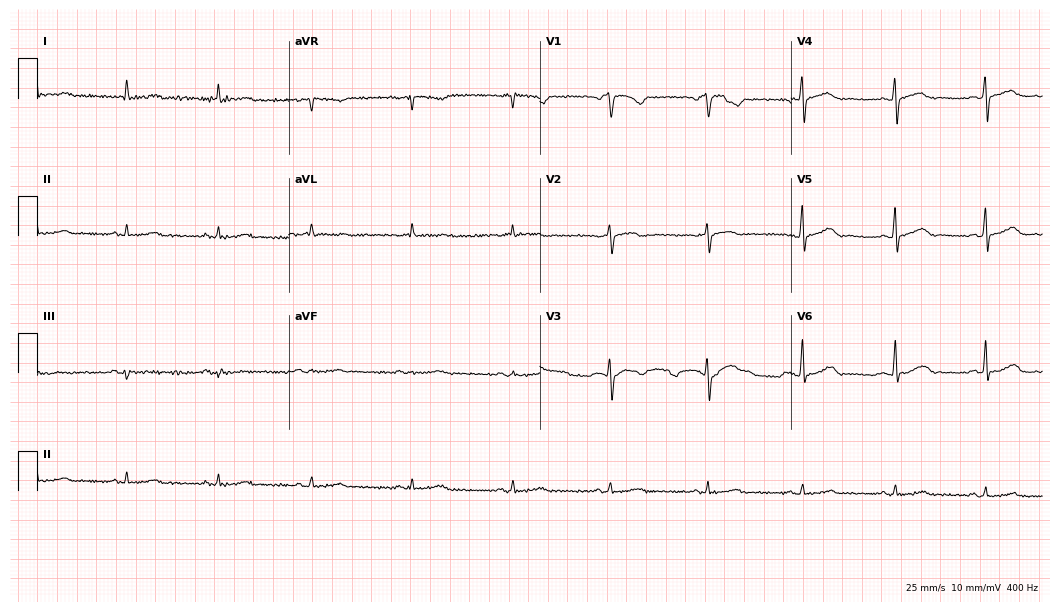
Electrocardiogram, a female, 63 years old. Overall reading on record: normal ECG.